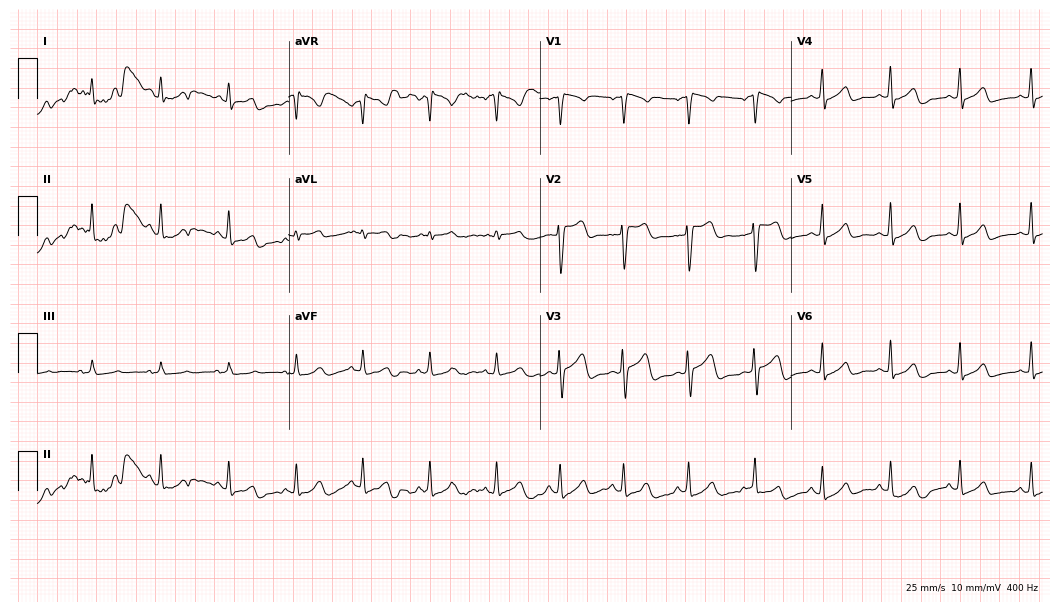
Resting 12-lead electrocardiogram (10.2-second recording at 400 Hz). Patient: a 39-year-old female. None of these six findings is recorded: first-degree AV block, right bundle branch block, left bundle branch block, sinus bradycardia, atrial fibrillation, sinus tachycardia.